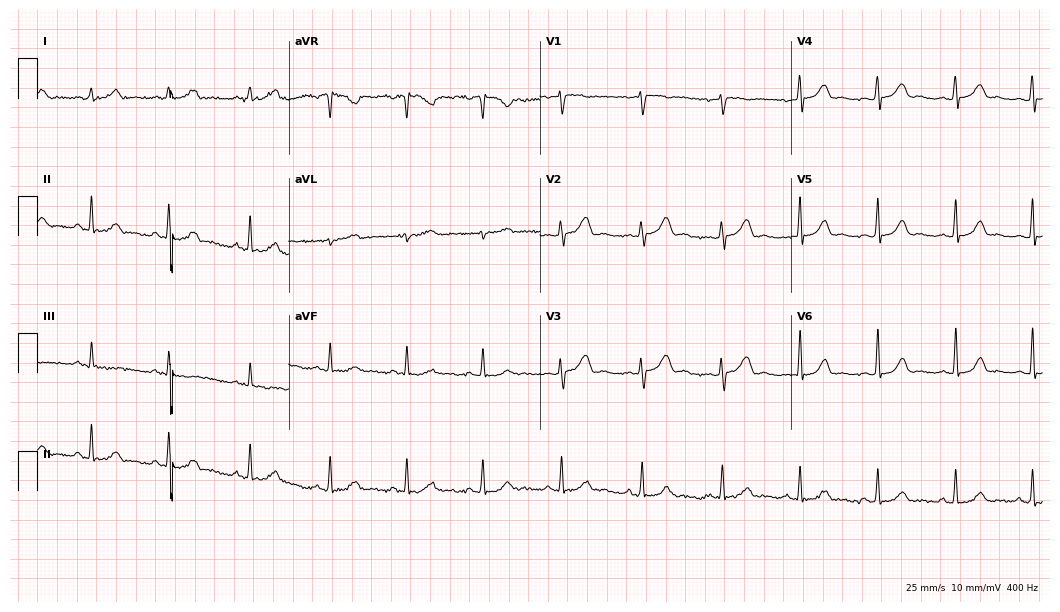
Electrocardiogram (10.2-second recording at 400 Hz), a female, 21 years old. Overall reading on record: normal ECG.